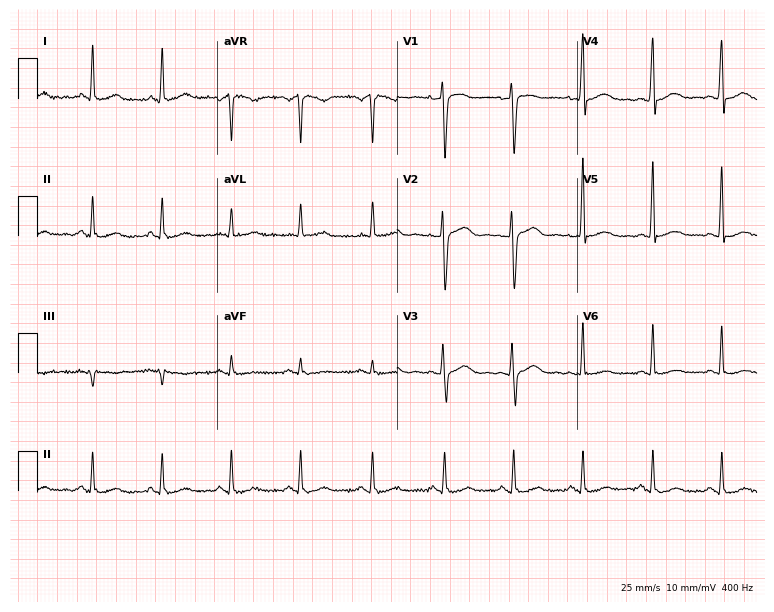
12-lead ECG from a 47-year-old female. Labelled as a normal ECG.